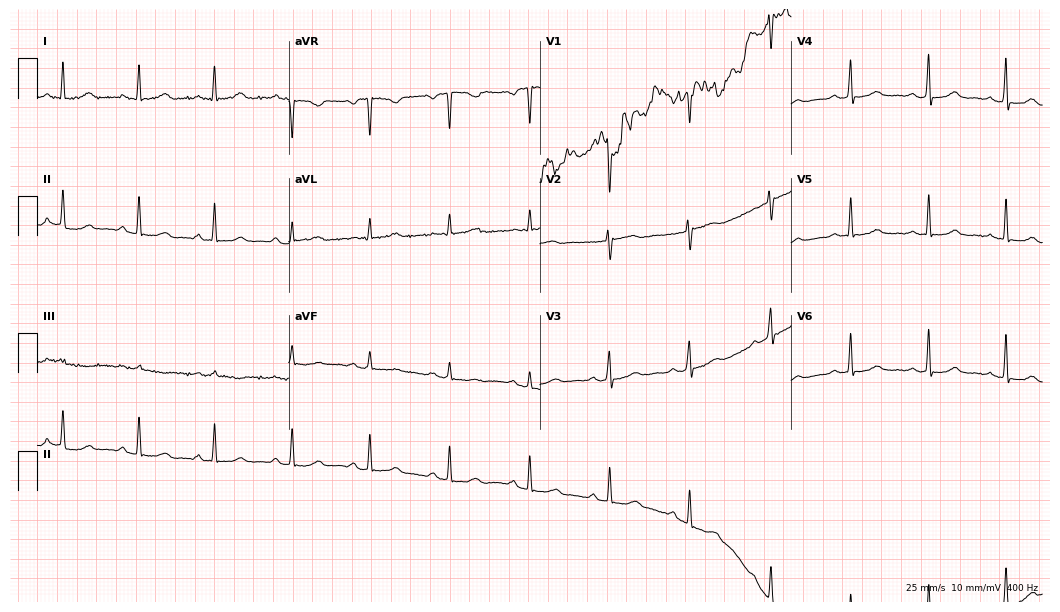
ECG (10.2-second recording at 400 Hz) — a 45-year-old female. Labelled as a normal ECG.